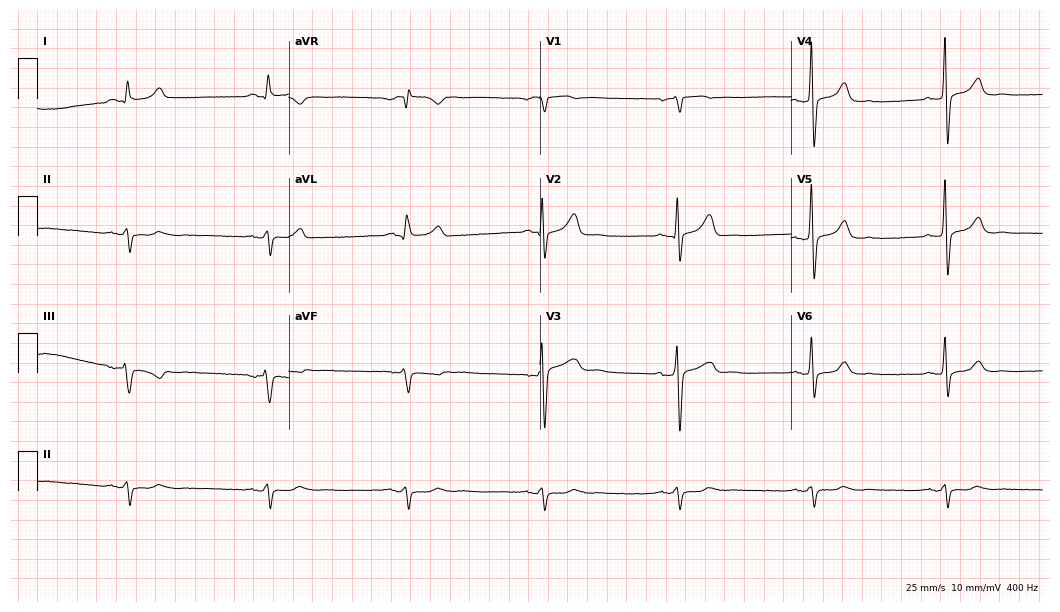
Resting 12-lead electrocardiogram. Patient: a 68-year-old man. The tracing shows sinus bradycardia (a sinus rate of 50 beats per minute or less).